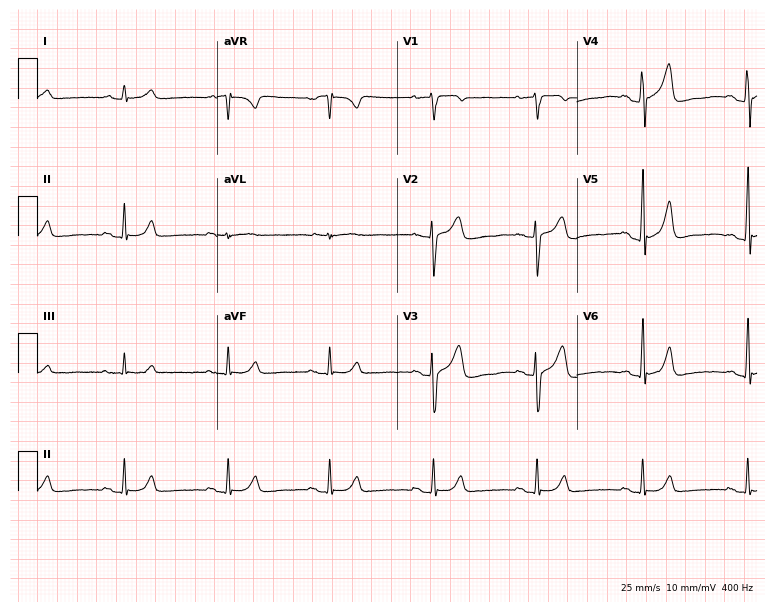
ECG (7.3-second recording at 400 Hz) — a 44-year-old male patient. Labelled as a normal ECG.